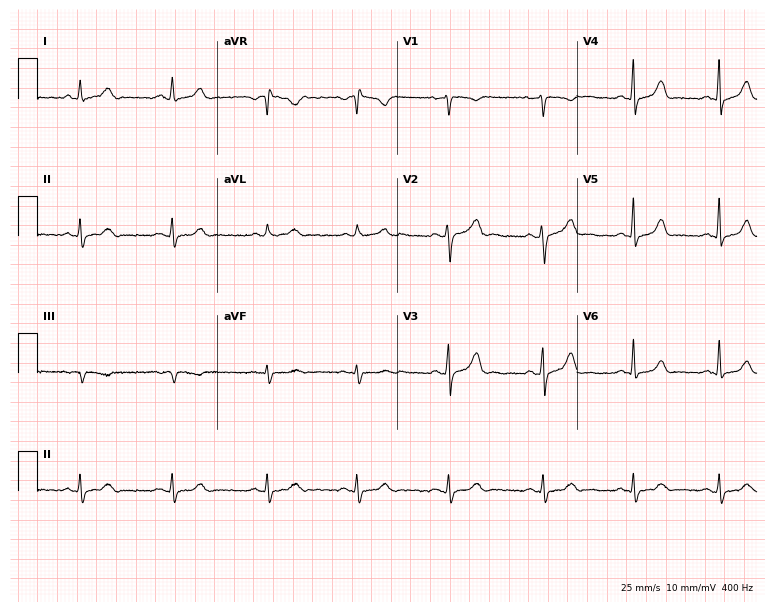
12-lead ECG from a female patient, 25 years old. Labelled as a normal ECG.